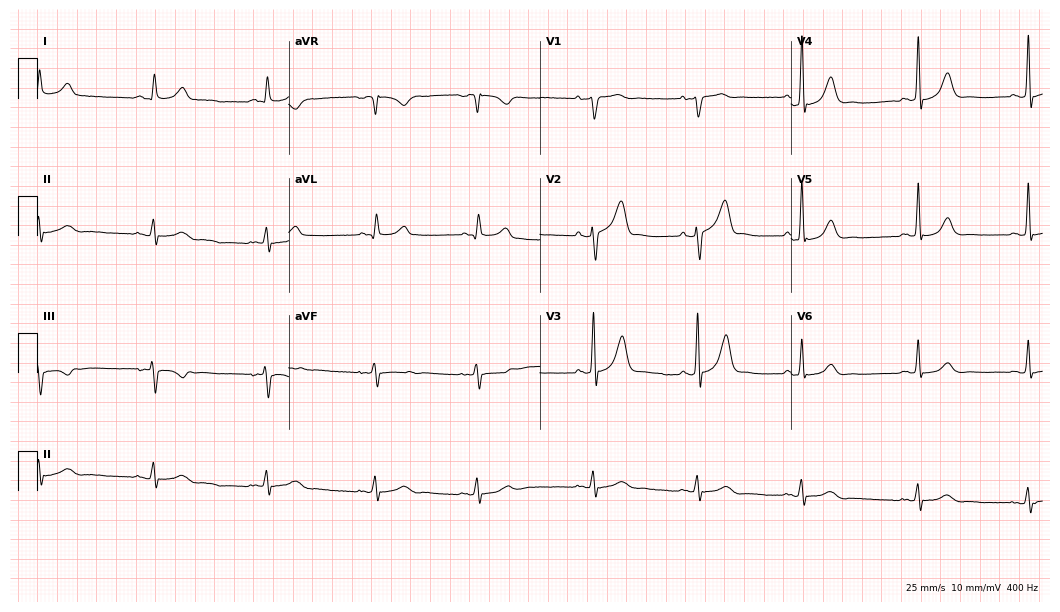
ECG — a male, 77 years old. Labelled as a normal ECG.